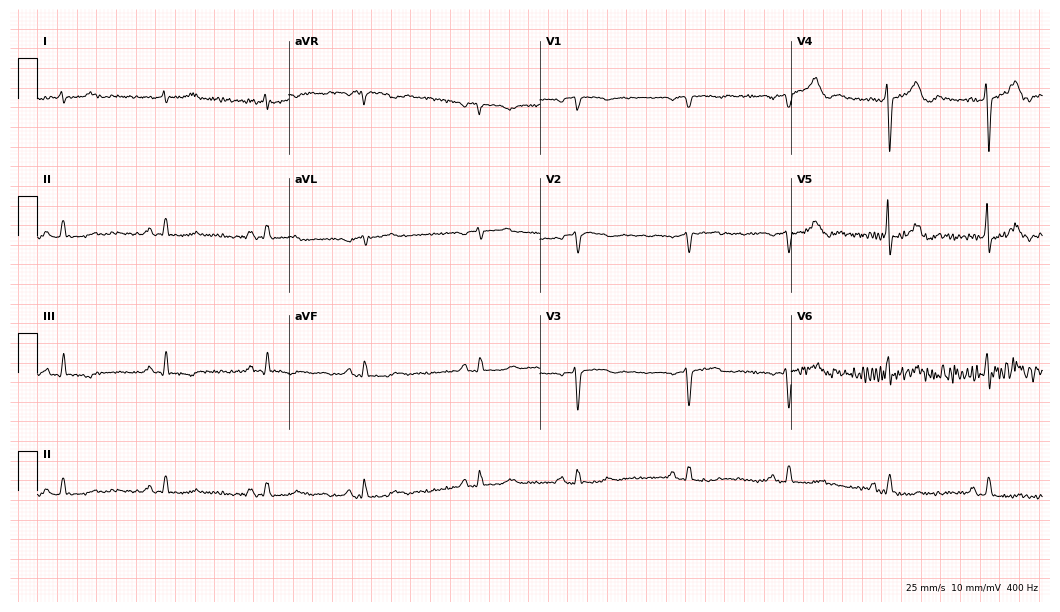
Standard 12-lead ECG recorded from an 85-year-old male patient (10.2-second recording at 400 Hz). Read as a normal ECG.